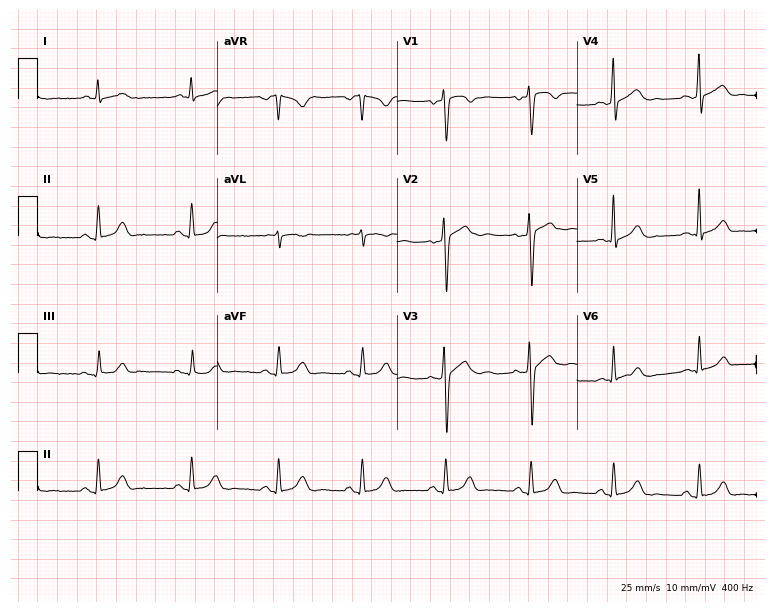
ECG — a male patient, 24 years old. Screened for six findings — first-degree AV block, right bundle branch block, left bundle branch block, sinus bradycardia, atrial fibrillation, sinus tachycardia — none is recorded. Other findings, if any, are not listed.